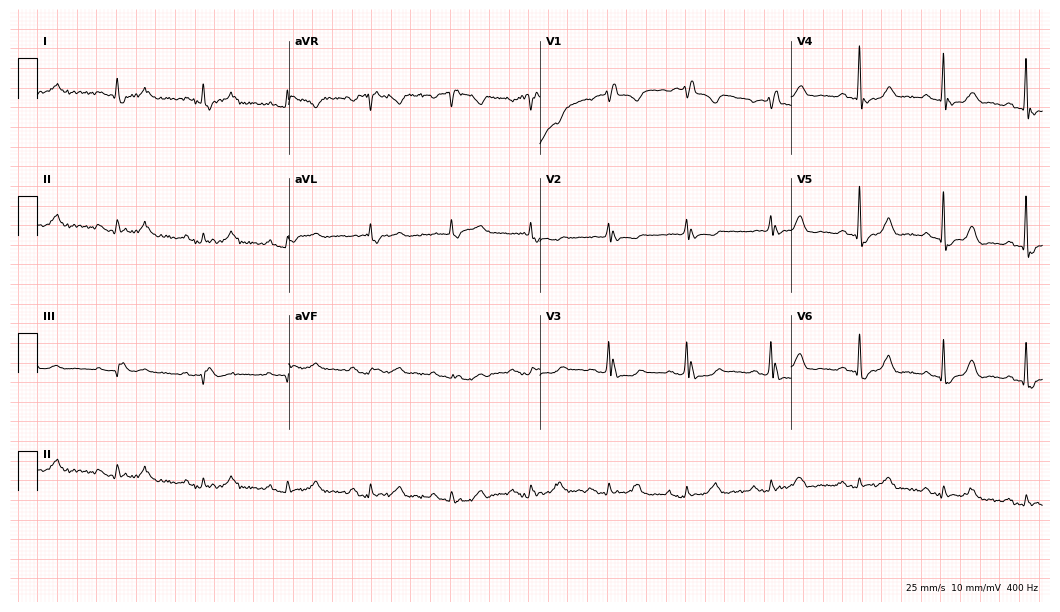
12-lead ECG from an 84-year-old man. Screened for six findings — first-degree AV block, right bundle branch block (RBBB), left bundle branch block (LBBB), sinus bradycardia, atrial fibrillation (AF), sinus tachycardia — none is recorded. Only these six findings were labelled.